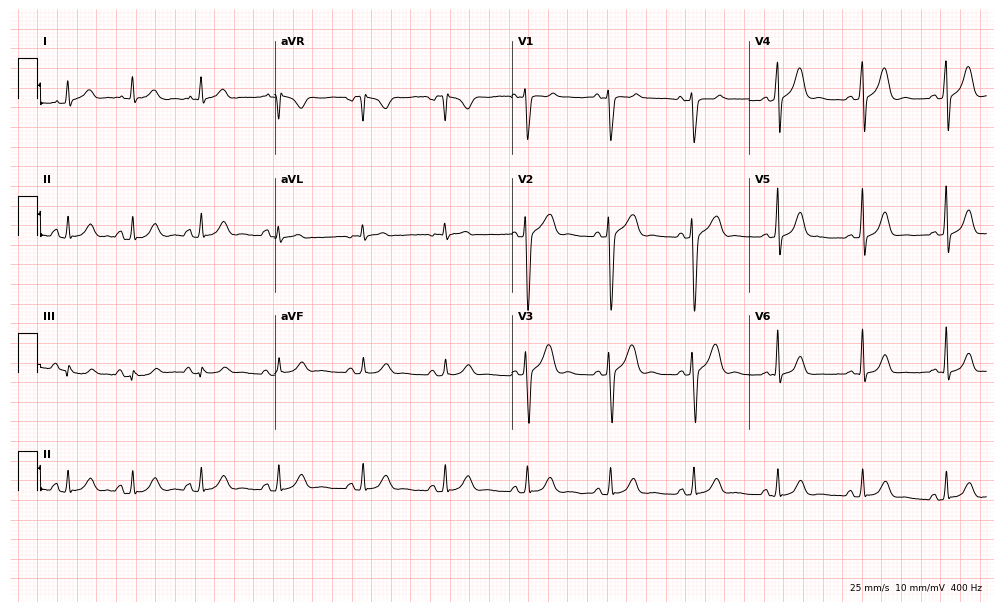
12-lead ECG (9.7-second recording at 400 Hz) from a woman, 29 years old. Labelled as a normal ECG.